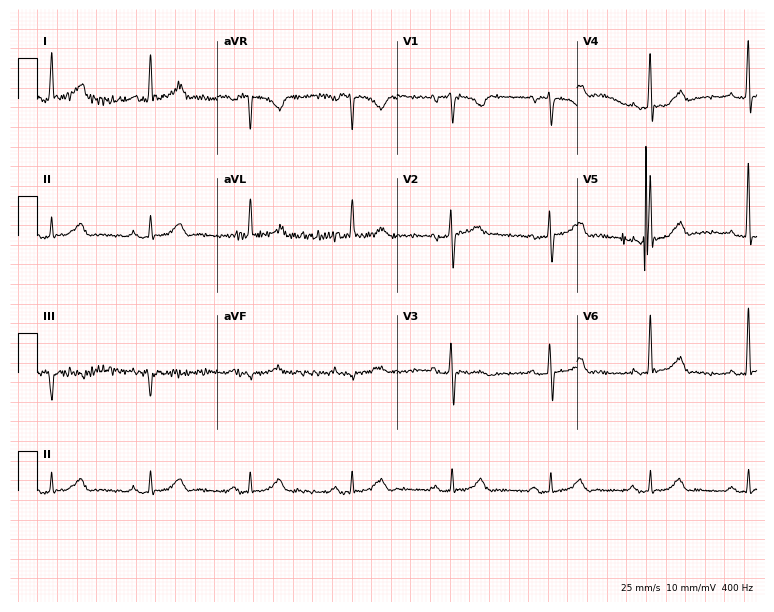
12-lead ECG from a 52-year-old male (7.3-second recording at 400 Hz). No first-degree AV block, right bundle branch block (RBBB), left bundle branch block (LBBB), sinus bradycardia, atrial fibrillation (AF) or sinus tachycardia recorded for this tracing.